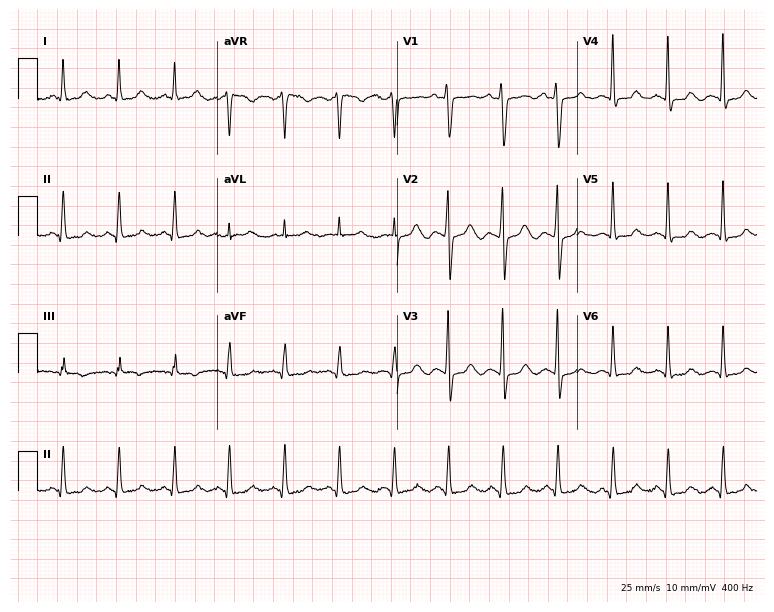
ECG — a 34-year-old female patient. Findings include sinus tachycardia (a sinus rate of 100 beats per minute or more).